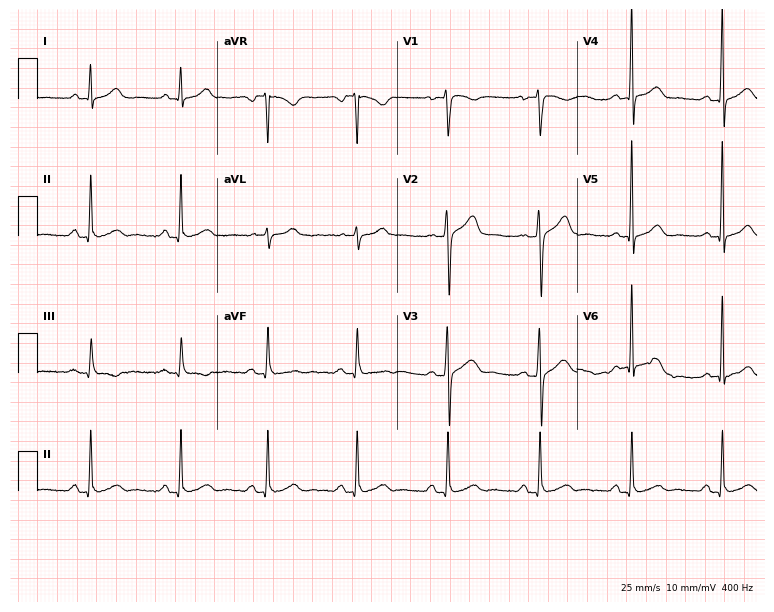
ECG — a 39-year-old male. Labelled as a normal ECG.